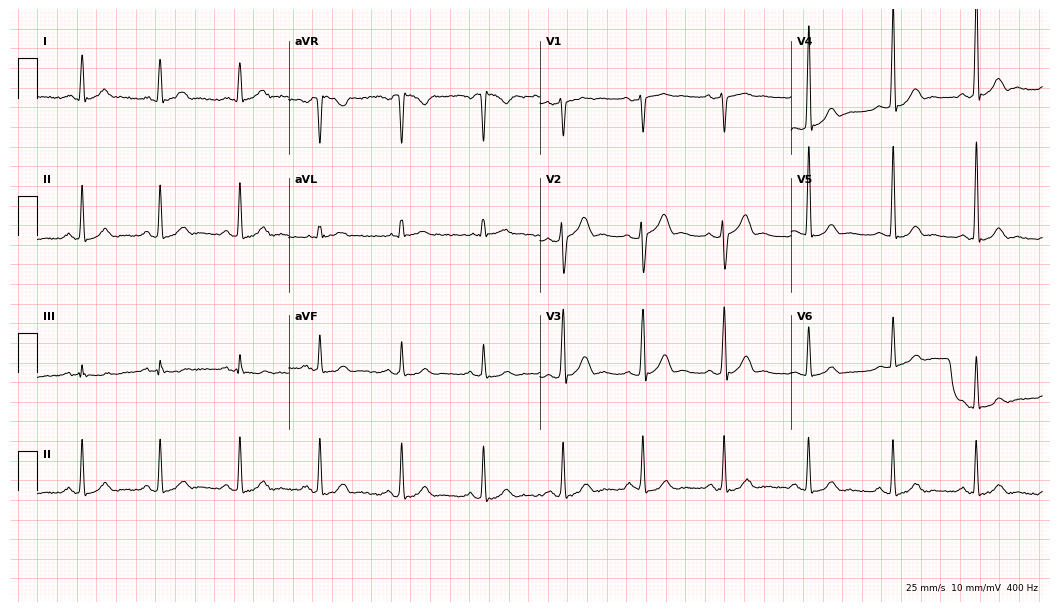
ECG — a male, 43 years old. Labelled as a normal ECG.